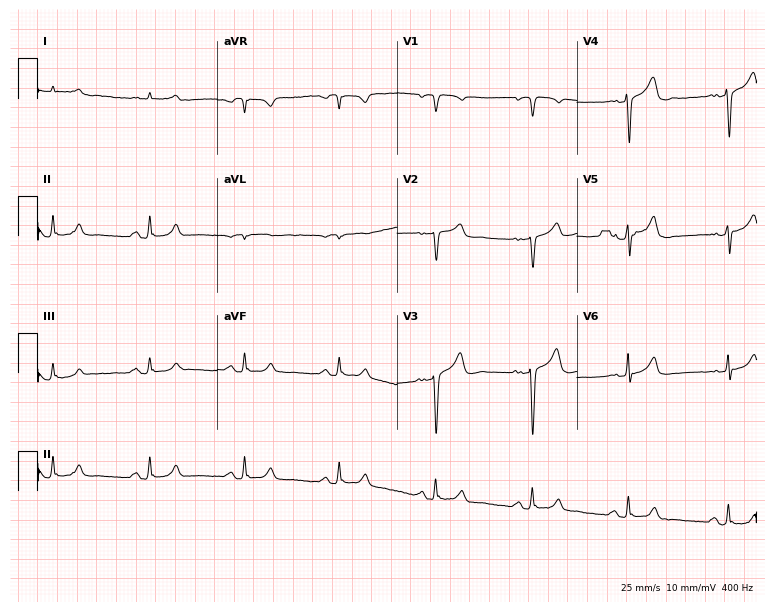
Standard 12-lead ECG recorded from a 71-year-old male patient. None of these six findings is recorded: first-degree AV block, right bundle branch block (RBBB), left bundle branch block (LBBB), sinus bradycardia, atrial fibrillation (AF), sinus tachycardia.